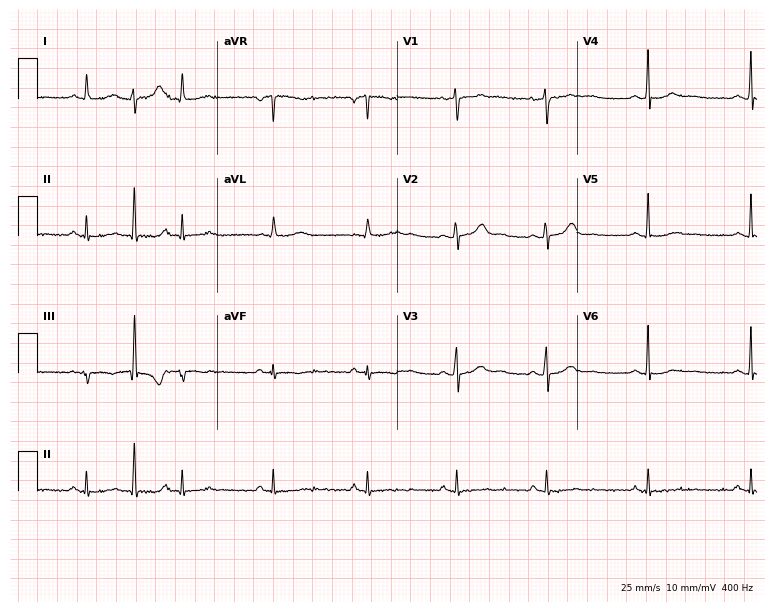
Standard 12-lead ECG recorded from a 41-year-old woman. None of these six findings is recorded: first-degree AV block, right bundle branch block, left bundle branch block, sinus bradycardia, atrial fibrillation, sinus tachycardia.